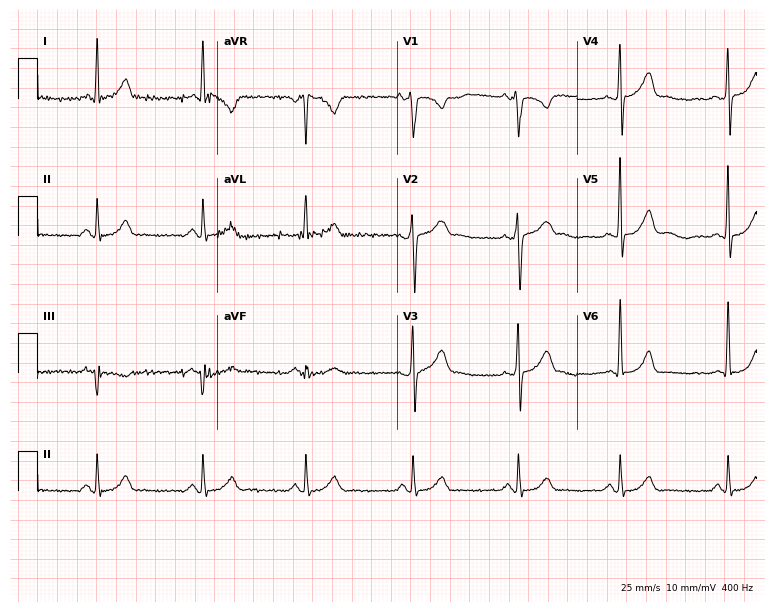
12-lead ECG from a man, 45 years old. No first-degree AV block, right bundle branch block, left bundle branch block, sinus bradycardia, atrial fibrillation or sinus tachycardia recorded for this tracing. Findings outside these six are not listed.